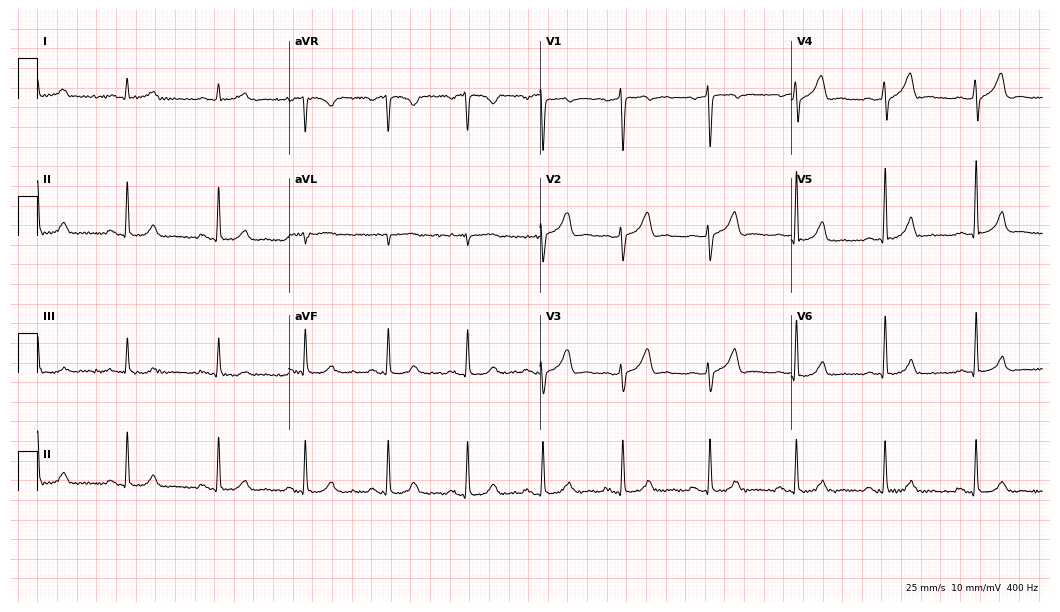
Standard 12-lead ECG recorded from a 32-year-old male patient (10.2-second recording at 400 Hz). Read as a normal ECG.